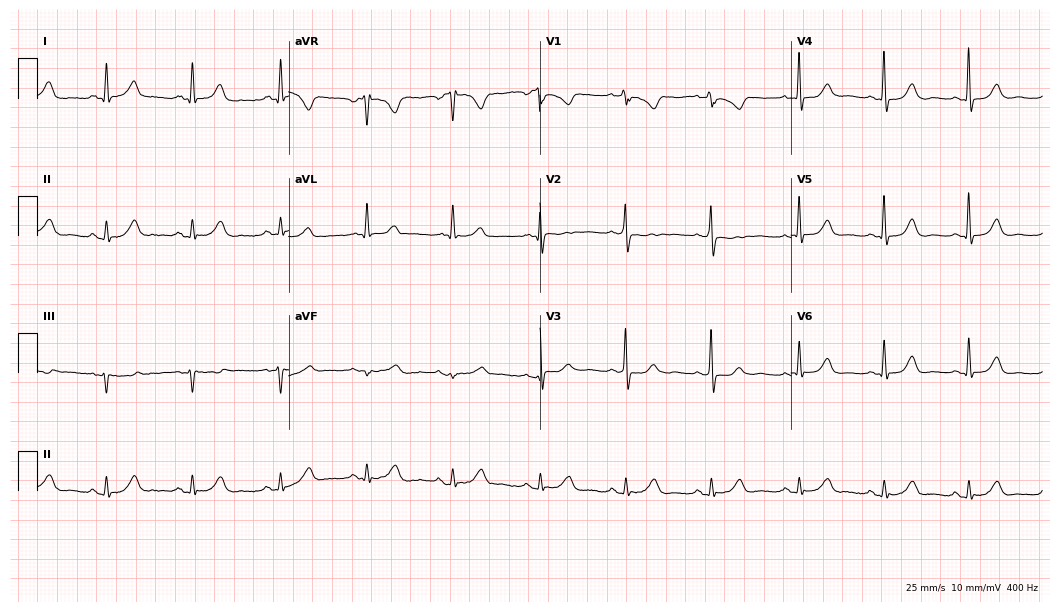
ECG (10.2-second recording at 400 Hz) — a 72-year-old female. Labelled as a normal ECG.